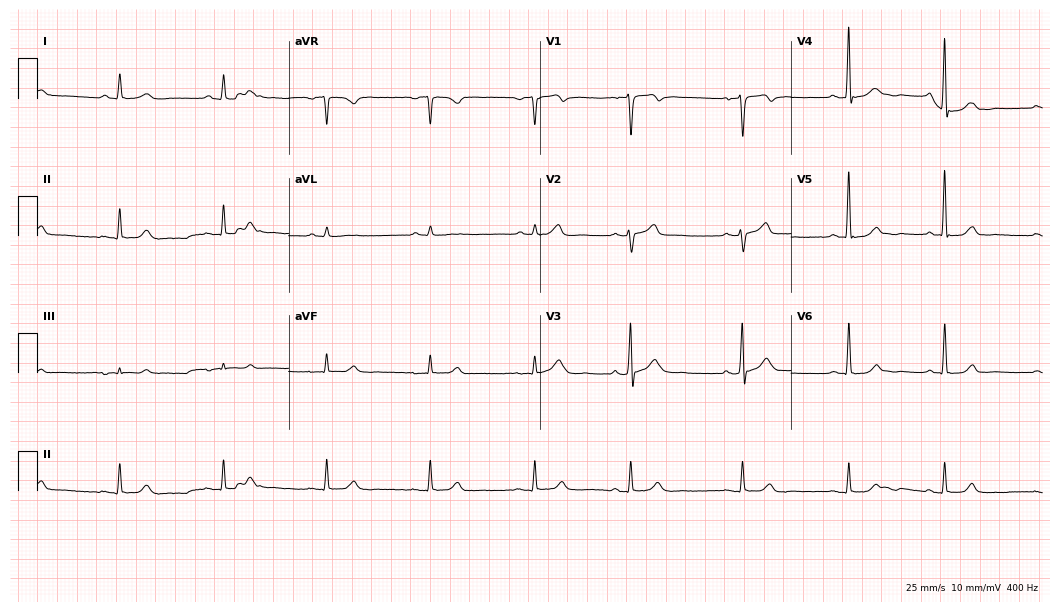
12-lead ECG from a man, 54 years old. Recorded interpretation: within normal limits.